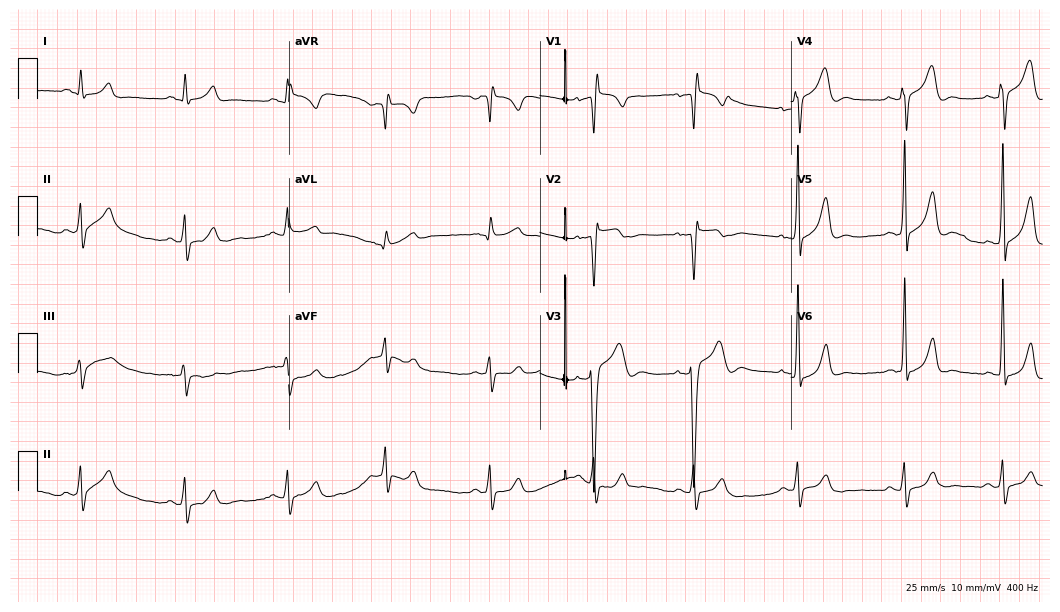
12-lead ECG from a 27-year-old man. Recorded interpretation: within normal limits.